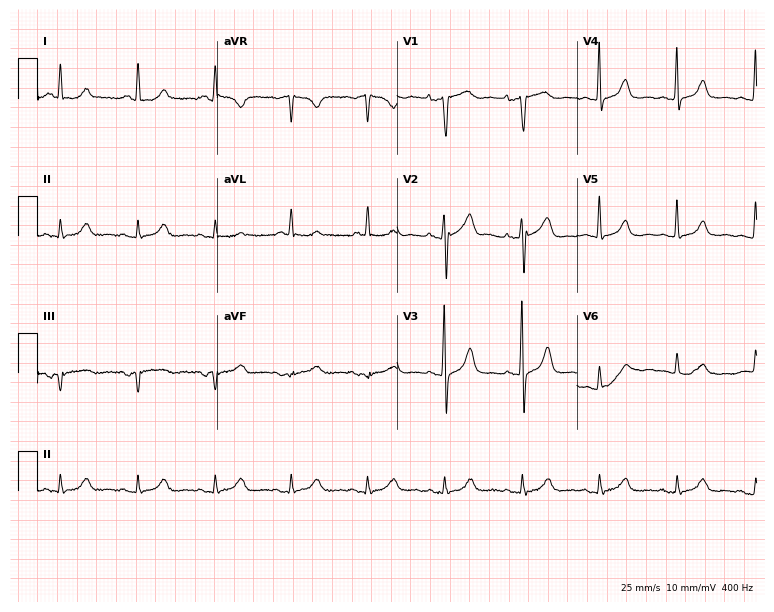
12-lead ECG from a 70-year-old female (7.3-second recording at 400 Hz). Recorded interpretation: within normal limits.